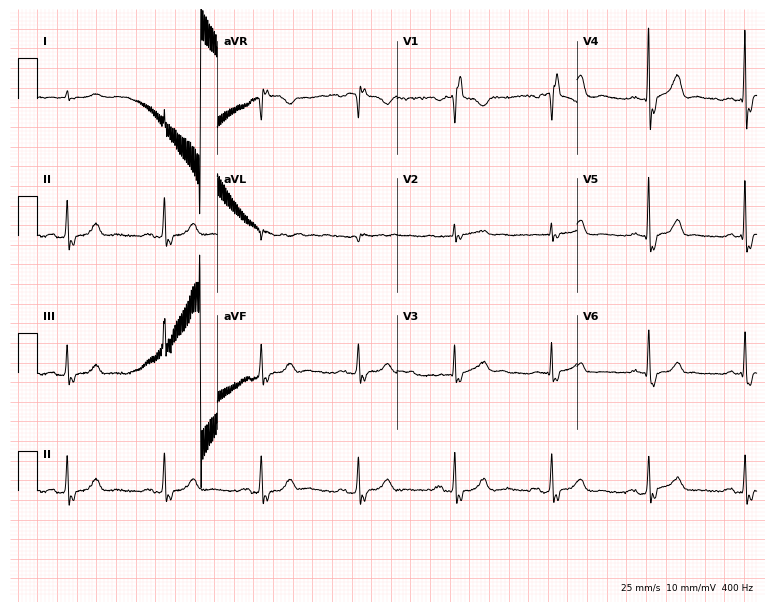
Resting 12-lead electrocardiogram (7.3-second recording at 400 Hz). Patient: an 82-year-old man. None of these six findings is recorded: first-degree AV block, right bundle branch block, left bundle branch block, sinus bradycardia, atrial fibrillation, sinus tachycardia.